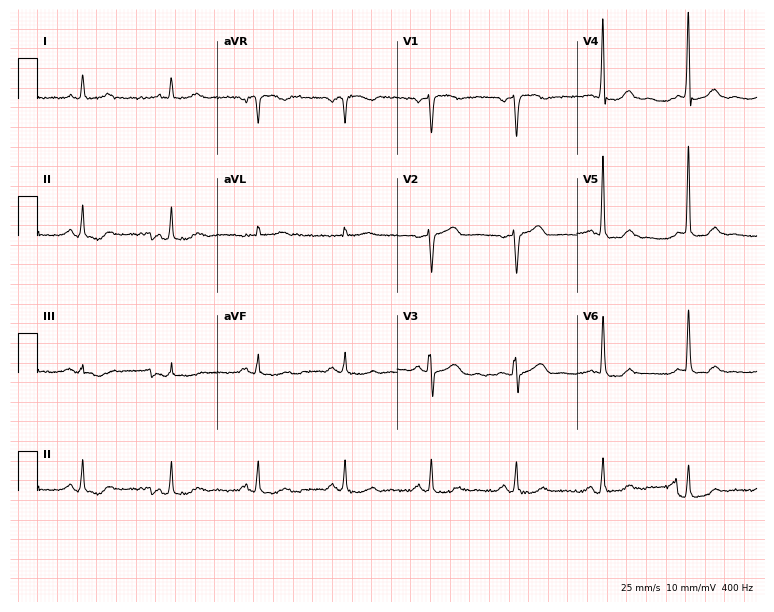
Electrocardiogram (7.3-second recording at 400 Hz), a male patient, 68 years old. Overall reading on record: normal ECG.